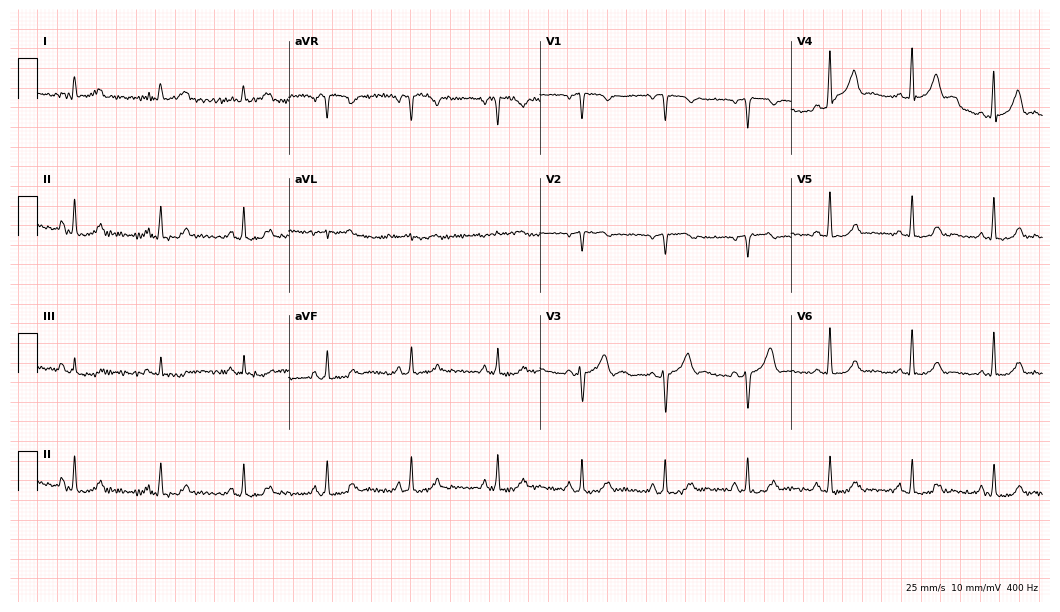
ECG (10.2-second recording at 400 Hz) — a female, 46 years old. Labelled as a normal ECG.